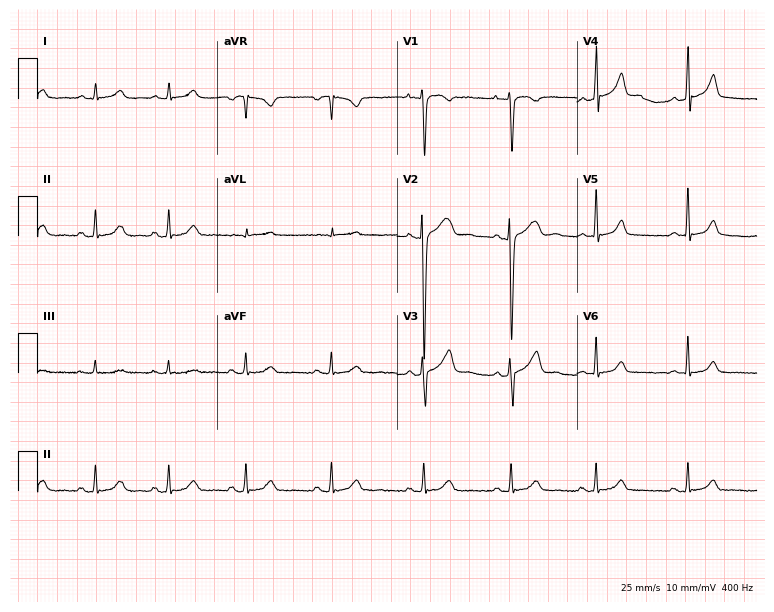
12-lead ECG from a 26-year-old female patient. Screened for six findings — first-degree AV block, right bundle branch block, left bundle branch block, sinus bradycardia, atrial fibrillation, sinus tachycardia — none is recorded. Only these six findings were labelled.